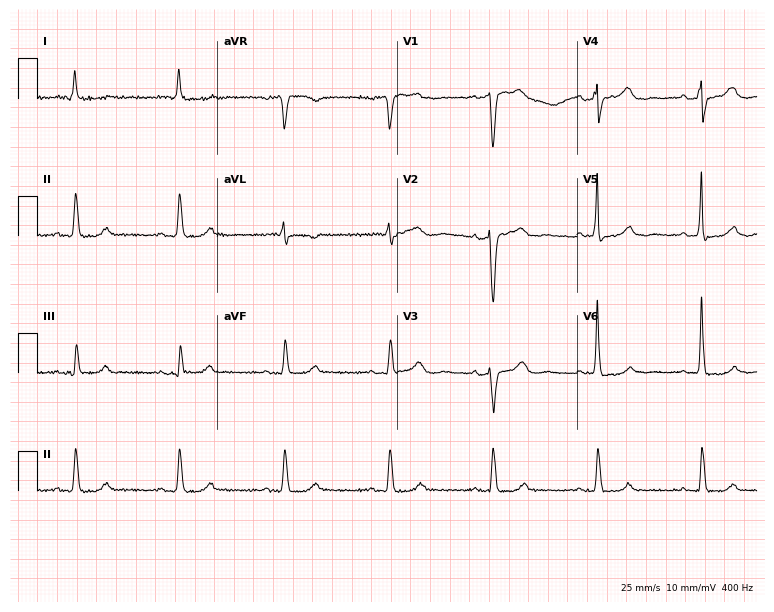
Electrocardiogram, a 77-year-old female patient. Overall reading on record: normal ECG.